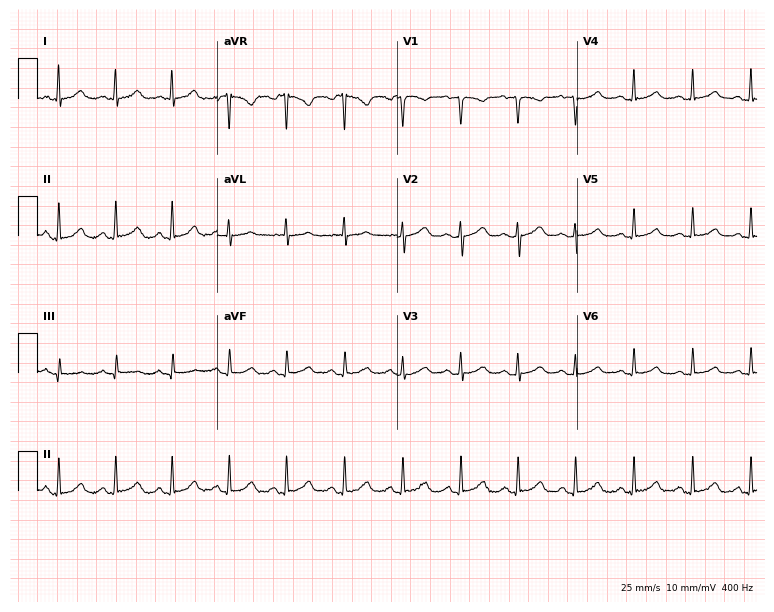
ECG — a 42-year-old female. Labelled as a normal ECG.